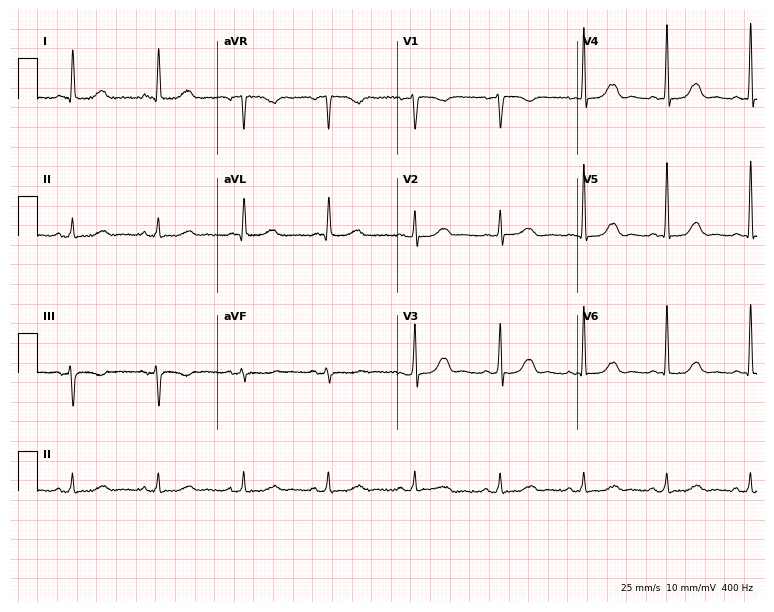
12-lead ECG from a woman, 58 years old. No first-degree AV block, right bundle branch block, left bundle branch block, sinus bradycardia, atrial fibrillation or sinus tachycardia recorded for this tracing.